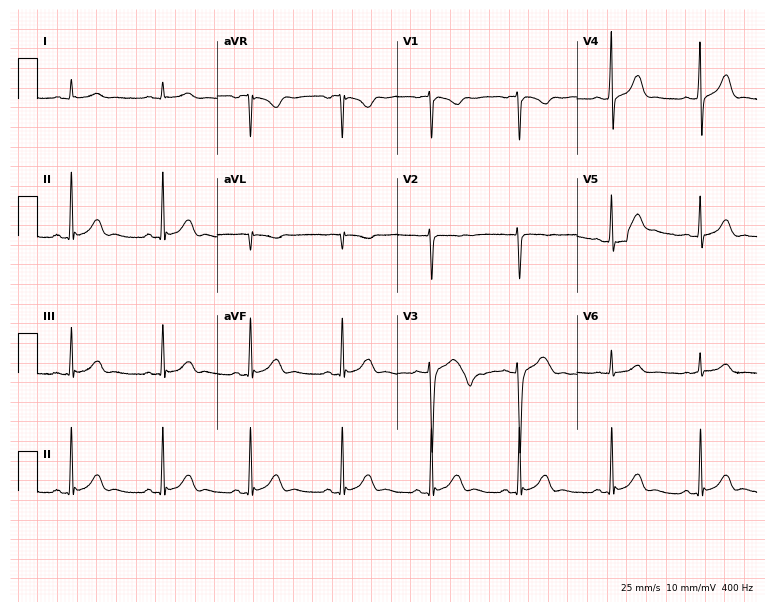
ECG (7.3-second recording at 400 Hz) — a 22-year-old male. Labelled as a normal ECG.